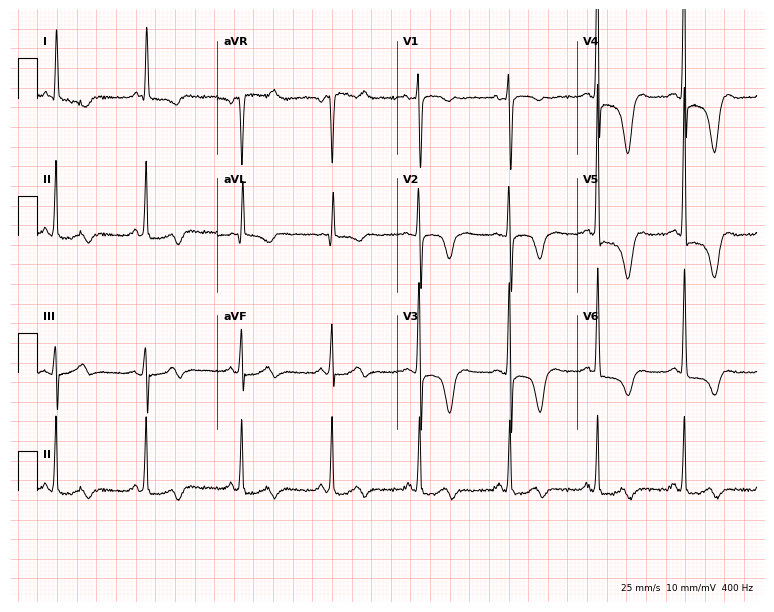
Electrocardiogram, a 56-year-old woman. Of the six screened findings (first-degree AV block, right bundle branch block (RBBB), left bundle branch block (LBBB), sinus bradycardia, atrial fibrillation (AF), sinus tachycardia), none is recorded. Only these six findings were labelled.